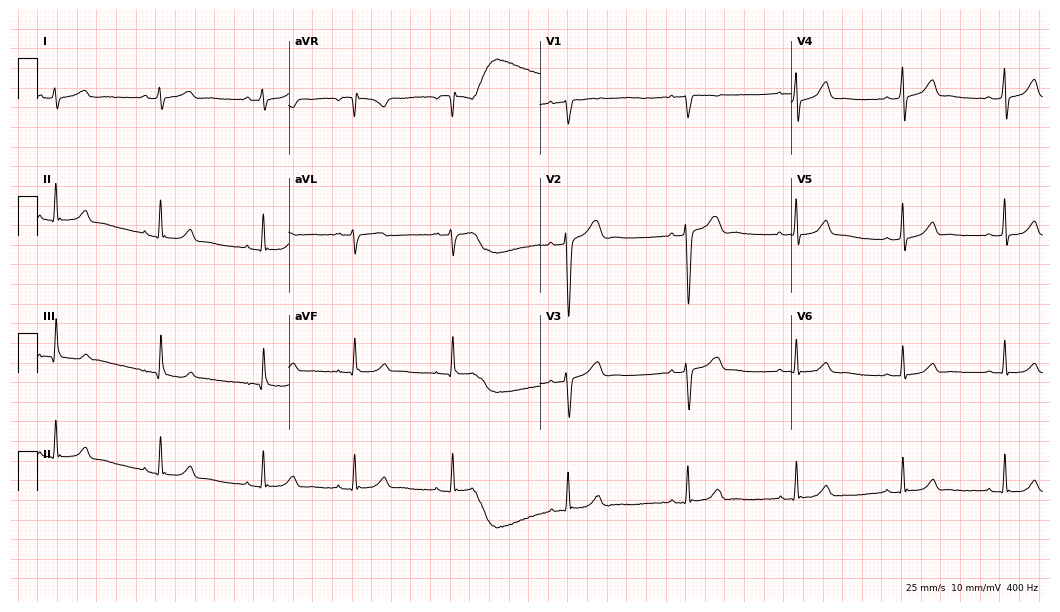
Standard 12-lead ECG recorded from a female patient, 30 years old. Read as a normal ECG.